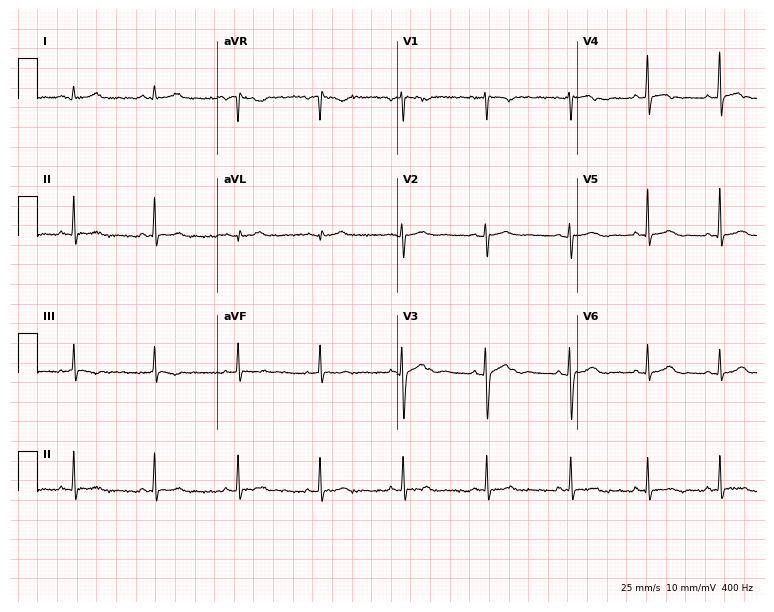
12-lead ECG from a woman, 17 years old. Screened for six findings — first-degree AV block, right bundle branch block, left bundle branch block, sinus bradycardia, atrial fibrillation, sinus tachycardia — none is recorded. Other findings, if any, are not listed.